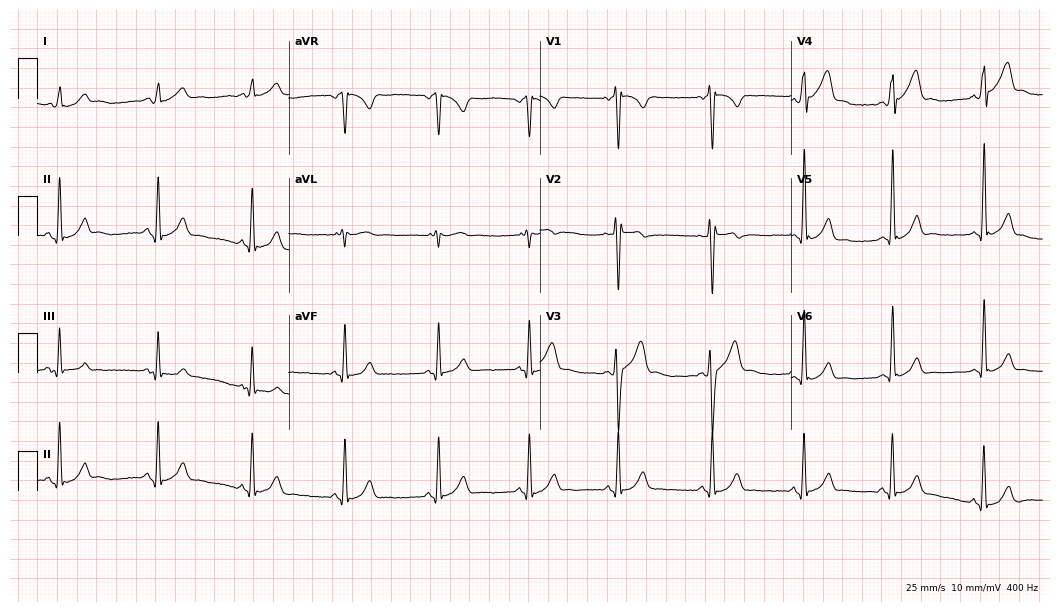
Standard 12-lead ECG recorded from a male, 19 years old (10.2-second recording at 400 Hz). Read as a normal ECG.